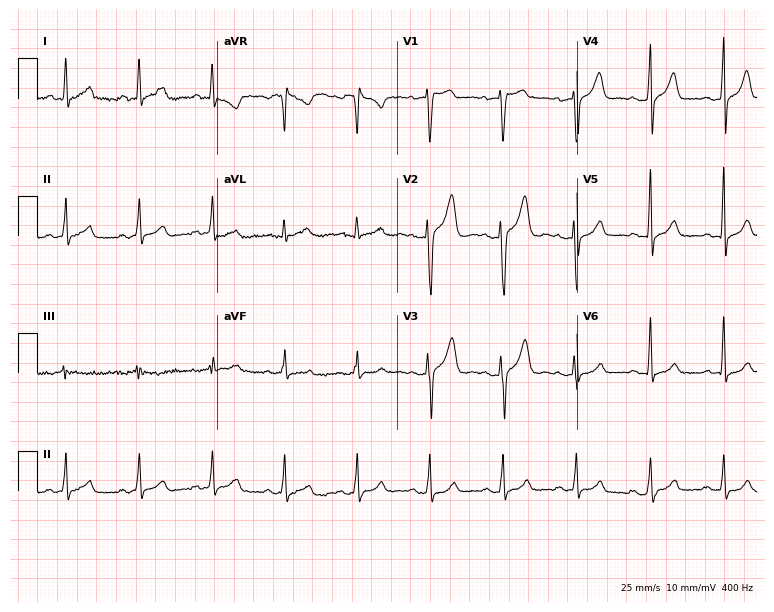
Standard 12-lead ECG recorded from a male patient, 34 years old. Read as a normal ECG.